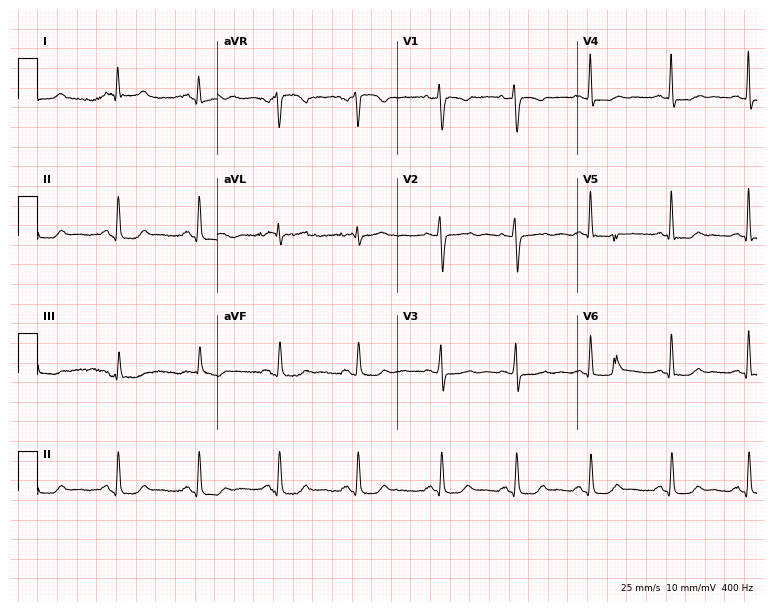
12-lead ECG from a female, 39 years old (7.3-second recording at 400 Hz). Recorded interpretation: within normal limits.